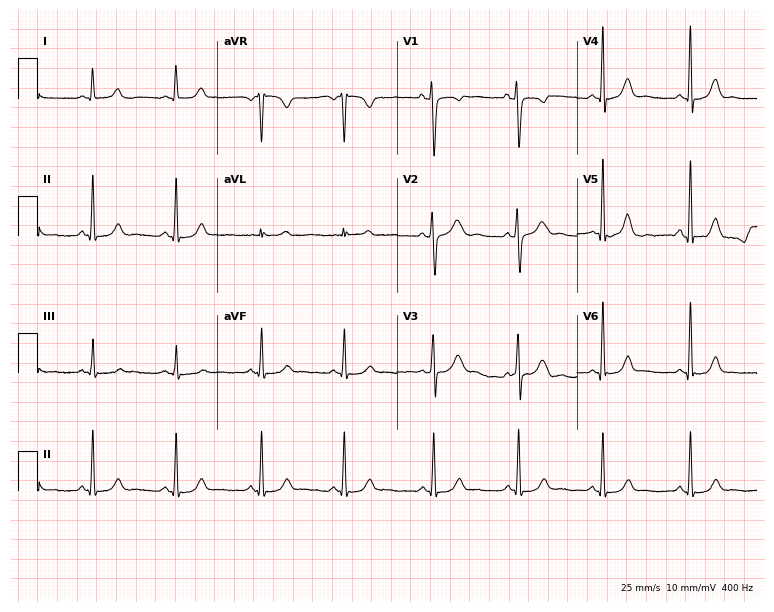
ECG — a female patient, 25 years old. Labelled as a normal ECG.